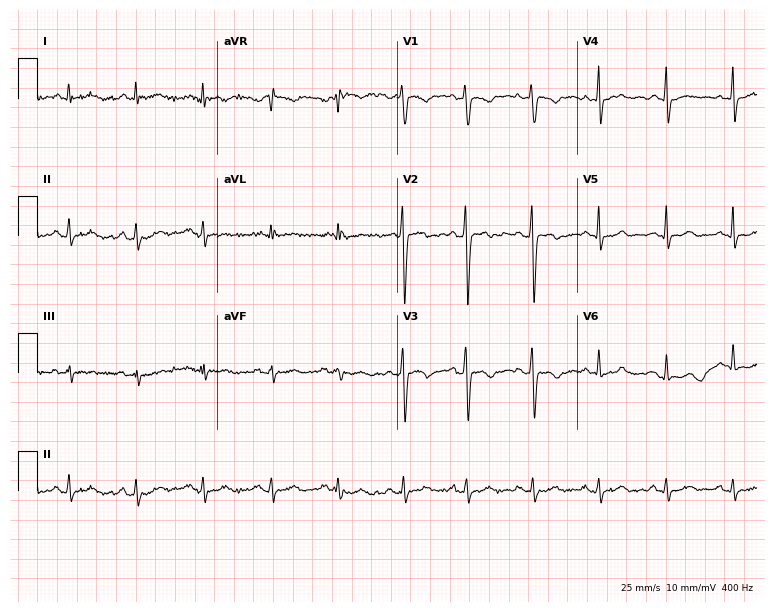
ECG — a 23-year-old female. Screened for six findings — first-degree AV block, right bundle branch block, left bundle branch block, sinus bradycardia, atrial fibrillation, sinus tachycardia — none is recorded.